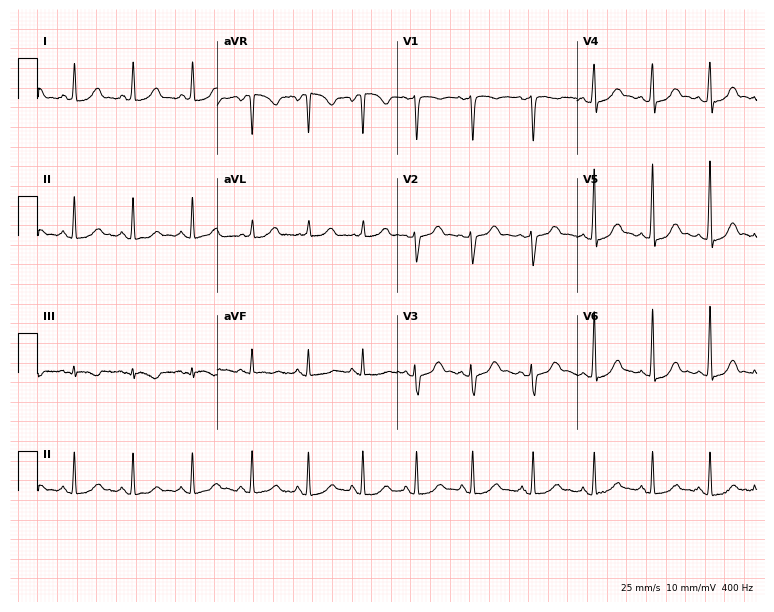
Electrocardiogram (7.3-second recording at 400 Hz), a 35-year-old female. Overall reading on record: normal ECG.